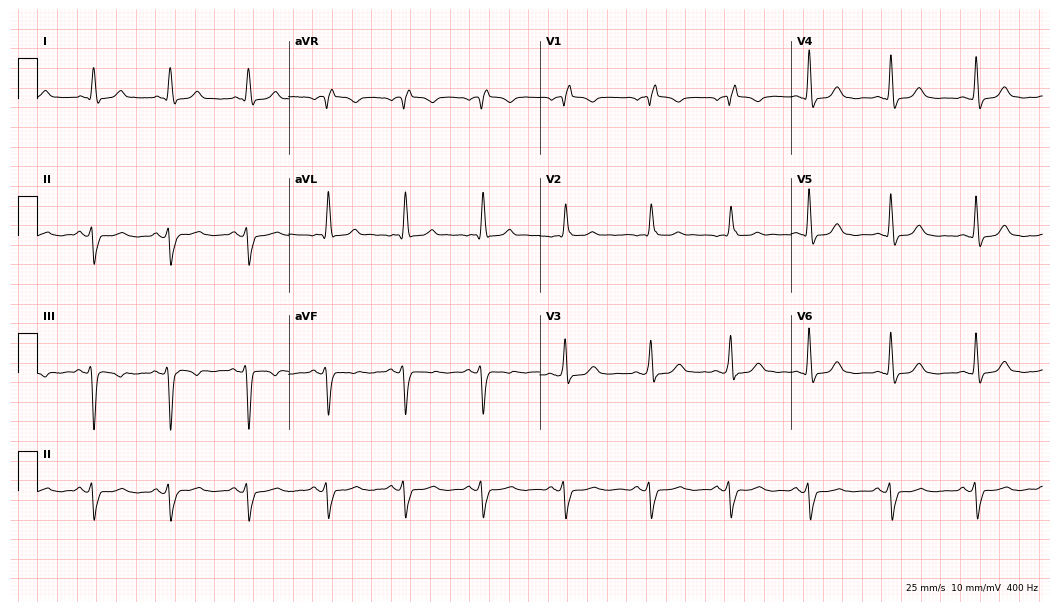
12-lead ECG from an 83-year-old female. No first-degree AV block, right bundle branch block (RBBB), left bundle branch block (LBBB), sinus bradycardia, atrial fibrillation (AF) or sinus tachycardia recorded for this tracing. Other findings, if any, are not listed.